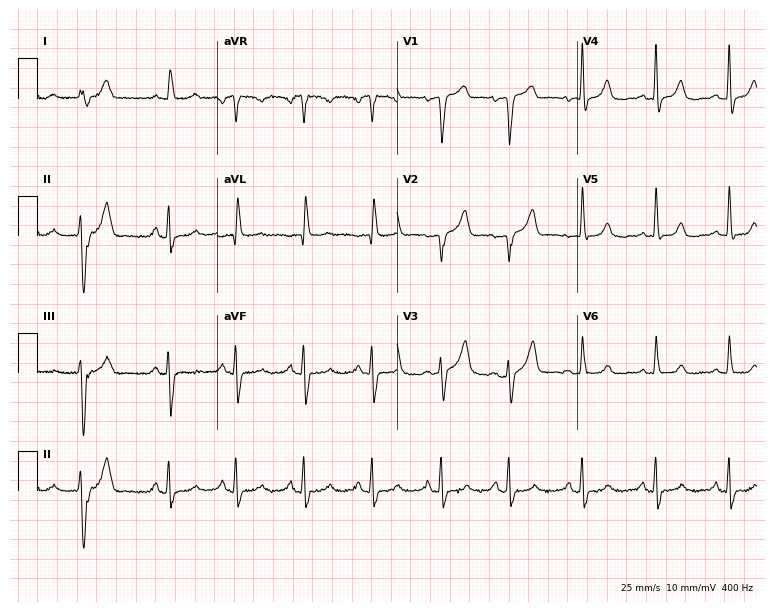
Electrocardiogram, a 59-year-old female. Of the six screened findings (first-degree AV block, right bundle branch block (RBBB), left bundle branch block (LBBB), sinus bradycardia, atrial fibrillation (AF), sinus tachycardia), none is recorded.